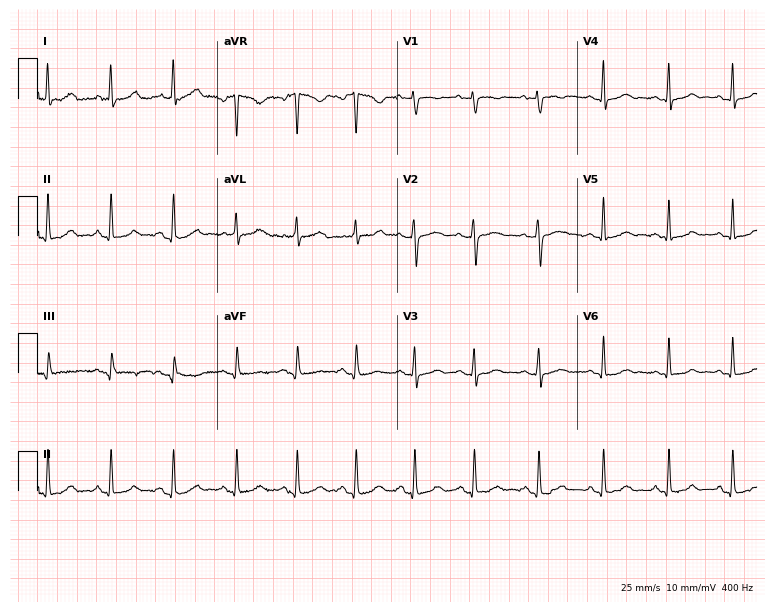
Electrocardiogram (7.3-second recording at 400 Hz), a female, 56 years old. Overall reading on record: normal ECG.